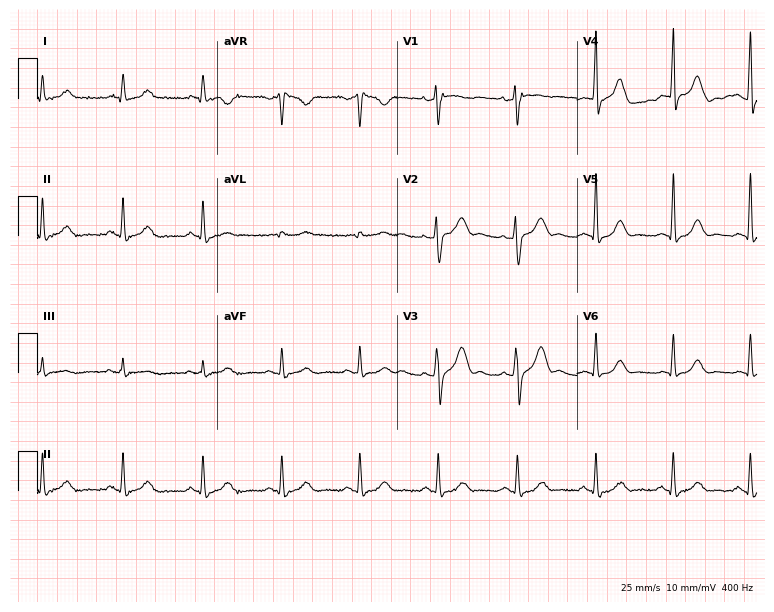
Standard 12-lead ECG recorded from a 66-year-old man (7.3-second recording at 400 Hz). None of these six findings is recorded: first-degree AV block, right bundle branch block, left bundle branch block, sinus bradycardia, atrial fibrillation, sinus tachycardia.